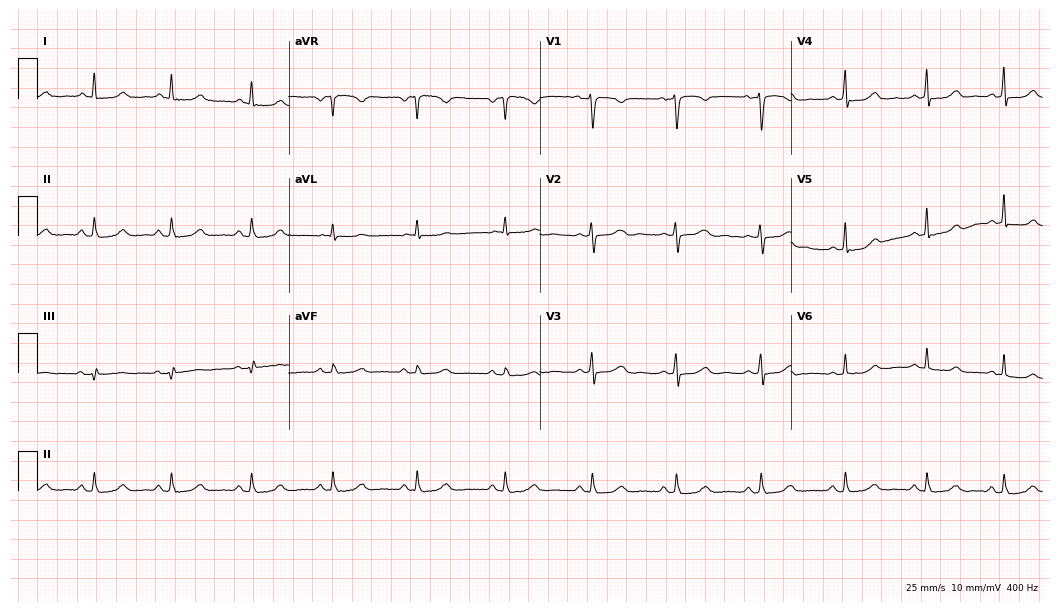
ECG (10.2-second recording at 400 Hz) — a 49-year-old woman. Labelled as a normal ECG.